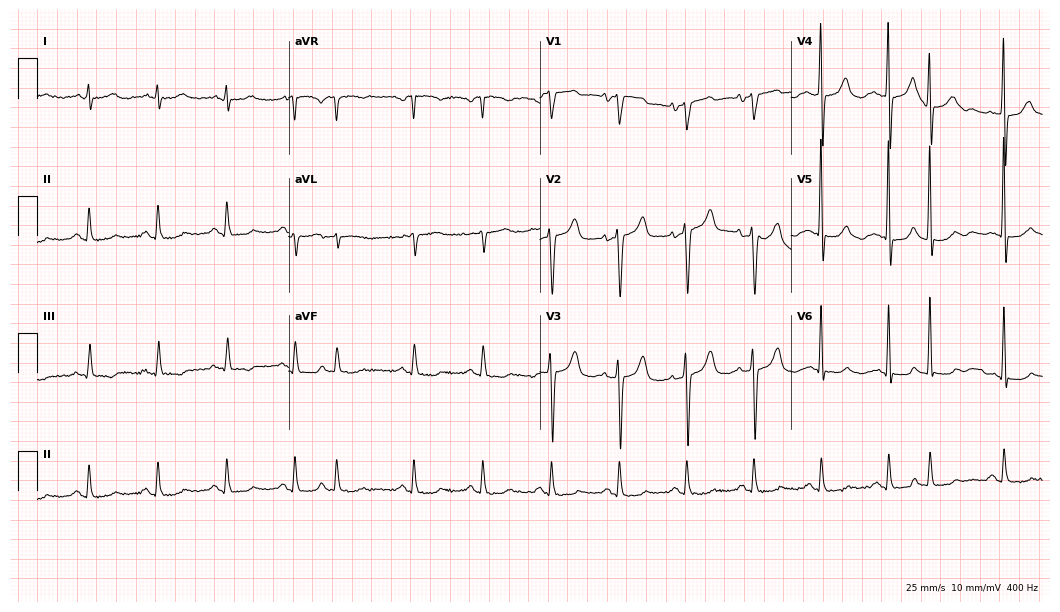
Electrocardiogram, a man, 84 years old. Of the six screened findings (first-degree AV block, right bundle branch block, left bundle branch block, sinus bradycardia, atrial fibrillation, sinus tachycardia), none is recorded.